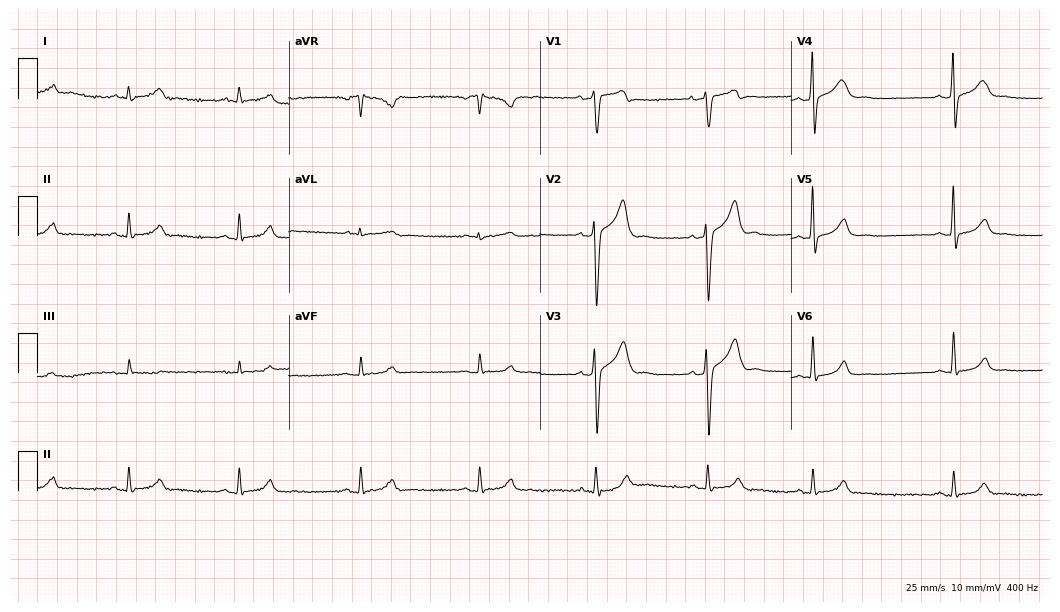
12-lead ECG from a male patient, 37 years old. Findings include sinus bradycardia (a sinus rate of 50 beats per minute or less).